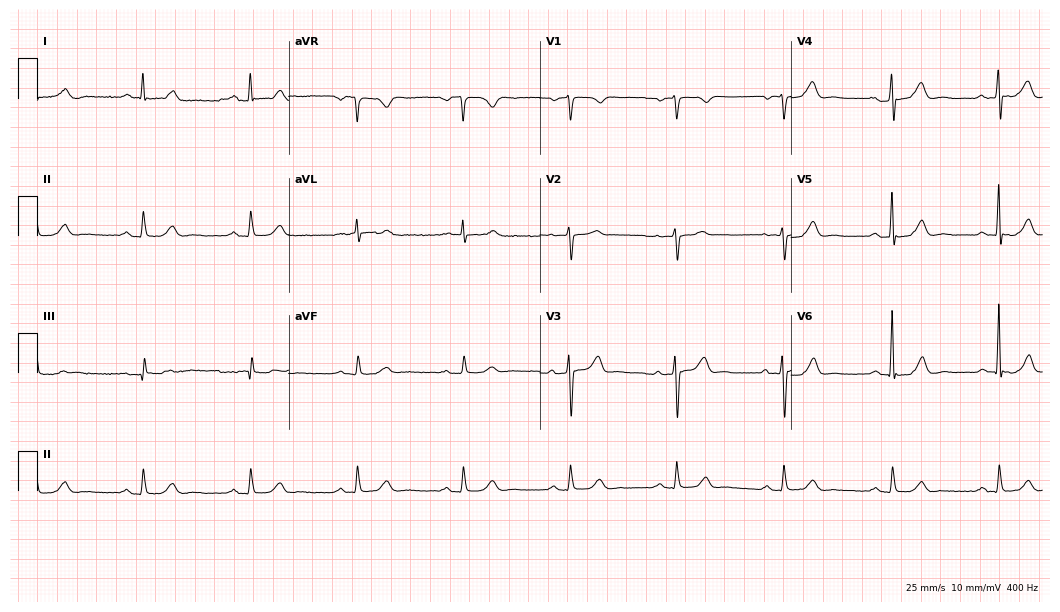
Electrocardiogram, a 72-year-old male patient. Overall reading on record: normal ECG.